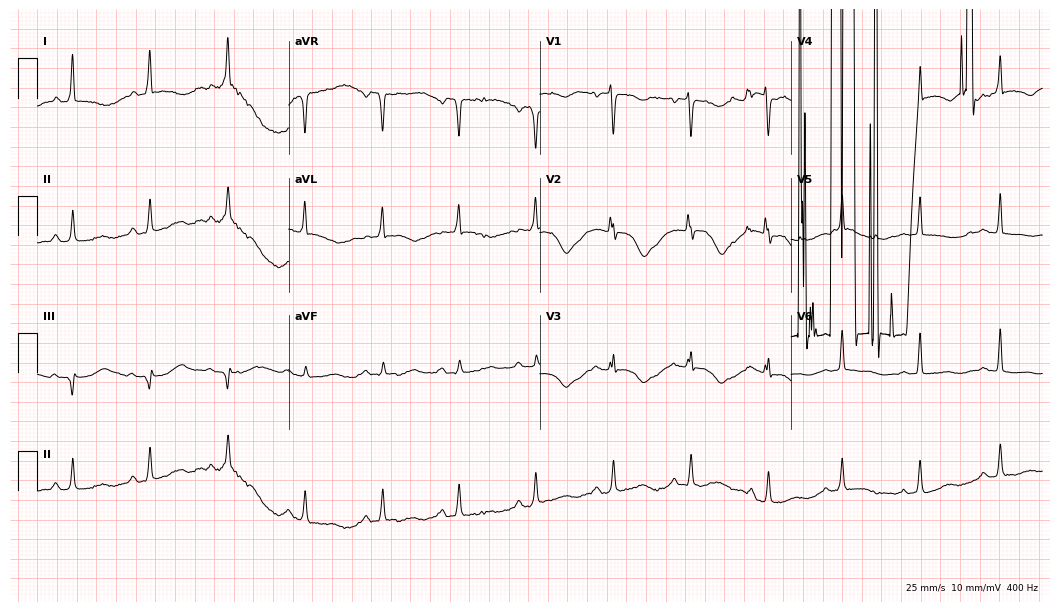
Resting 12-lead electrocardiogram. Patient: a female, 78 years old. None of these six findings is recorded: first-degree AV block, right bundle branch block, left bundle branch block, sinus bradycardia, atrial fibrillation, sinus tachycardia.